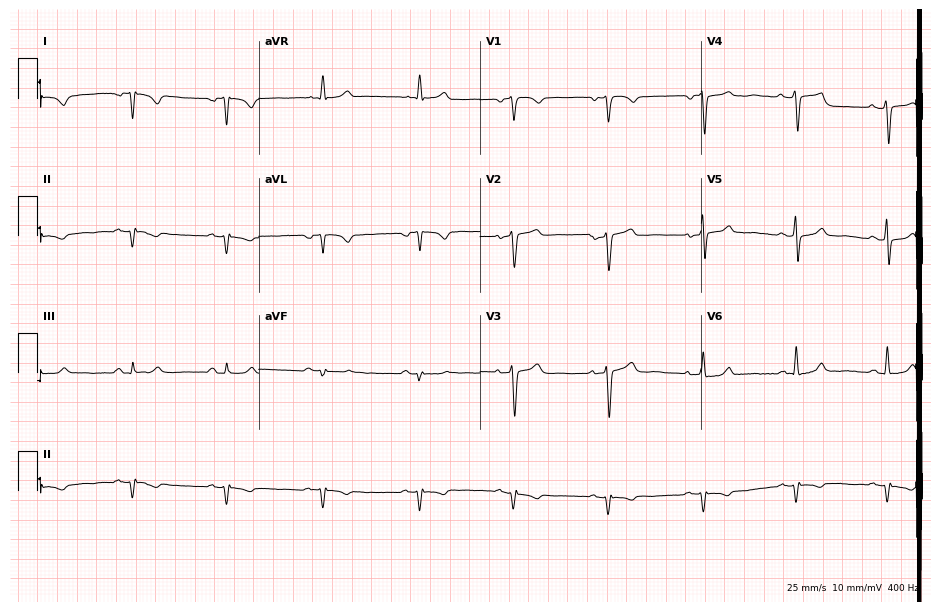
12-lead ECG from a man, 71 years old. Screened for six findings — first-degree AV block, right bundle branch block, left bundle branch block, sinus bradycardia, atrial fibrillation, sinus tachycardia — none is recorded. Other findings, if any, are not listed.